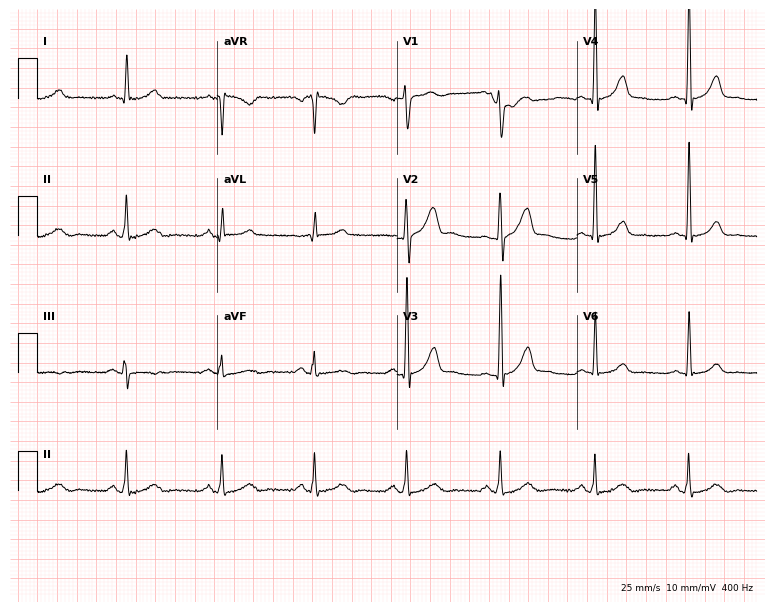
Standard 12-lead ECG recorded from a 48-year-old male patient (7.3-second recording at 400 Hz). None of these six findings is recorded: first-degree AV block, right bundle branch block, left bundle branch block, sinus bradycardia, atrial fibrillation, sinus tachycardia. Only these six findings were labelled.